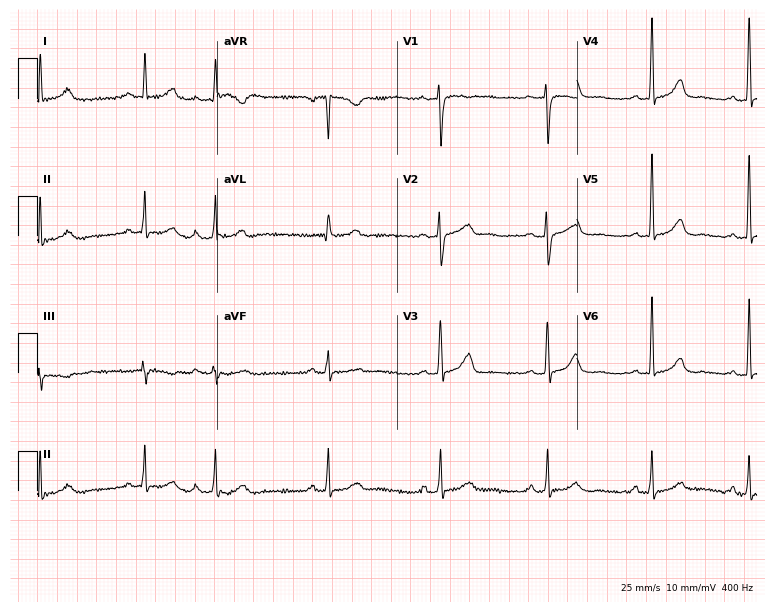
12-lead ECG from a woman, 35 years old. Recorded interpretation: within normal limits.